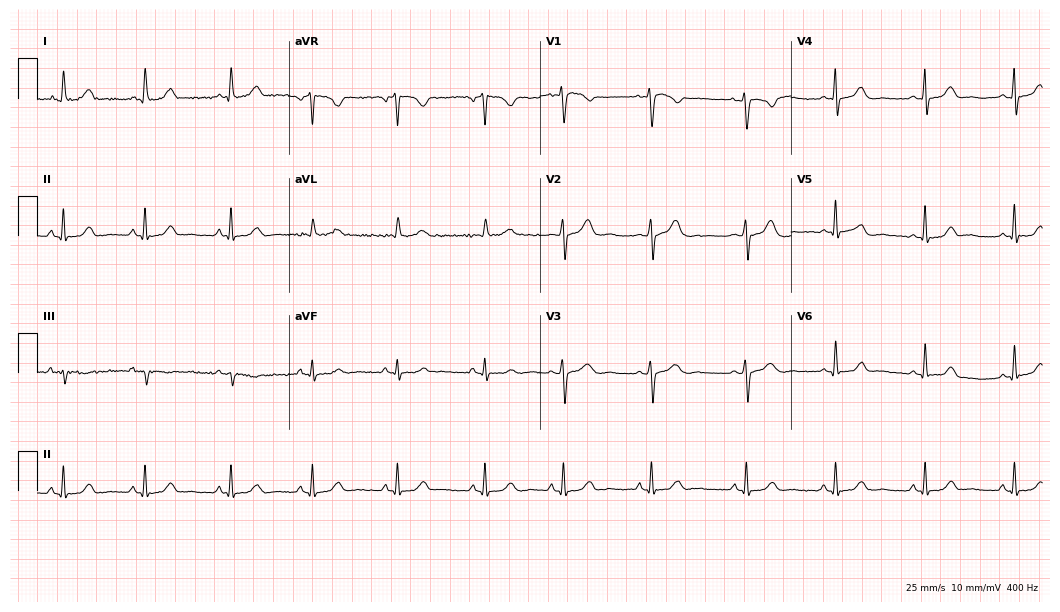
Electrocardiogram (10.2-second recording at 400 Hz), a female, 45 years old. Overall reading on record: normal ECG.